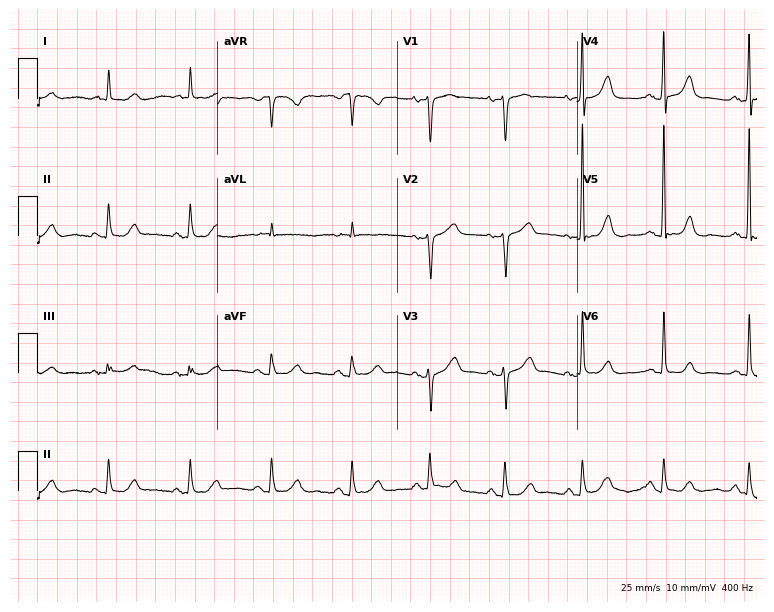
Standard 12-lead ECG recorded from an 83-year-old female. None of these six findings is recorded: first-degree AV block, right bundle branch block (RBBB), left bundle branch block (LBBB), sinus bradycardia, atrial fibrillation (AF), sinus tachycardia.